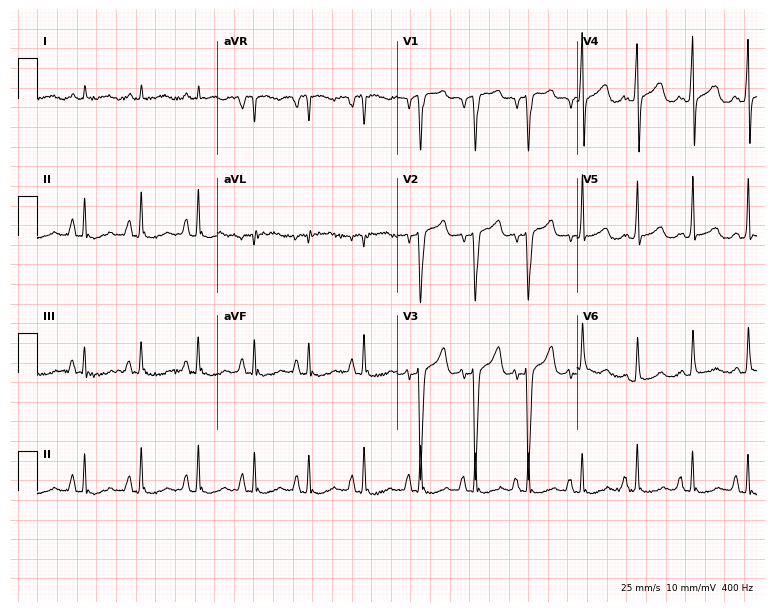
ECG — a female patient, 85 years old. Findings include sinus tachycardia (a sinus rate of 100 beats per minute or more).